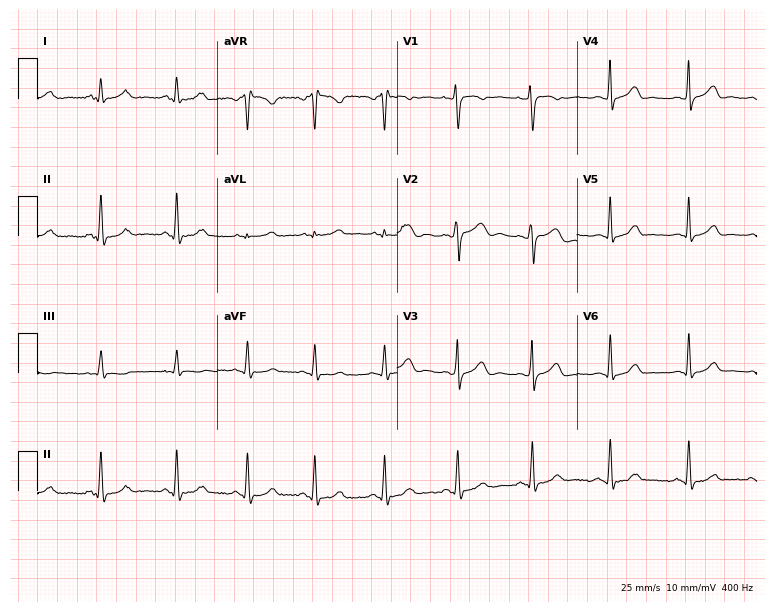
12-lead ECG from a 34-year-old female (7.3-second recording at 400 Hz). No first-degree AV block, right bundle branch block (RBBB), left bundle branch block (LBBB), sinus bradycardia, atrial fibrillation (AF) or sinus tachycardia recorded for this tracing.